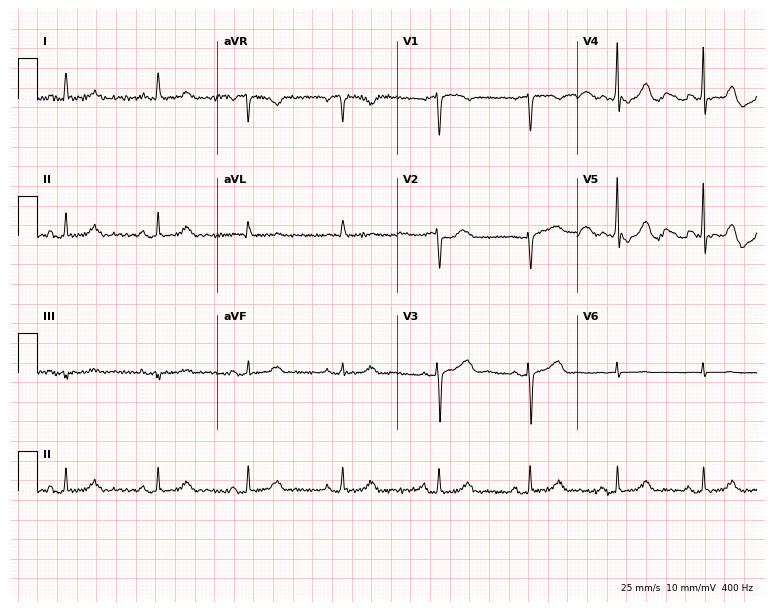
ECG (7.3-second recording at 400 Hz) — a woman, 51 years old. Labelled as a normal ECG.